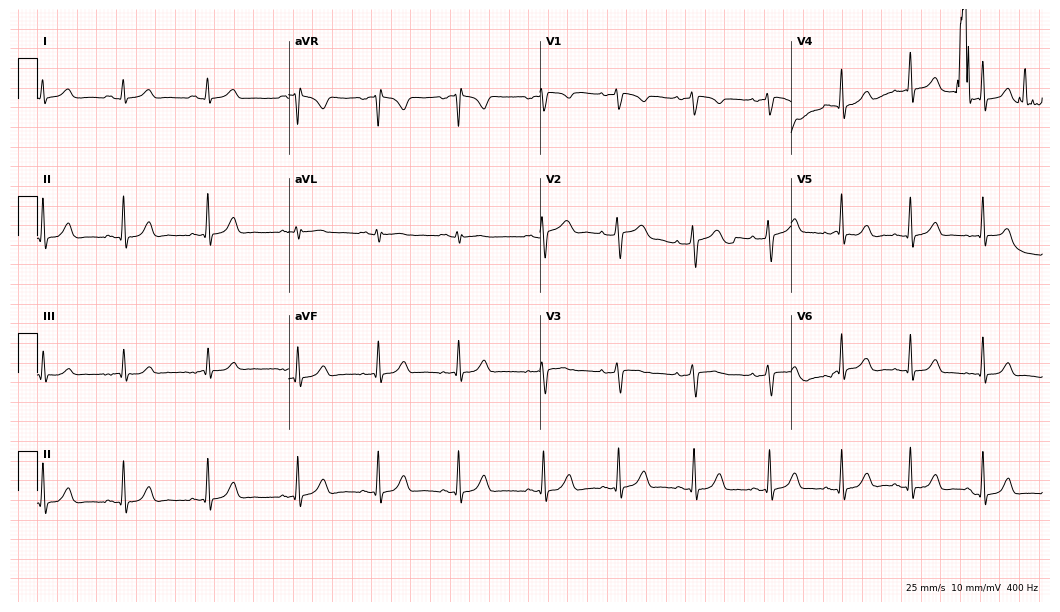
Electrocardiogram, a female patient, 27 years old. Of the six screened findings (first-degree AV block, right bundle branch block, left bundle branch block, sinus bradycardia, atrial fibrillation, sinus tachycardia), none is recorded.